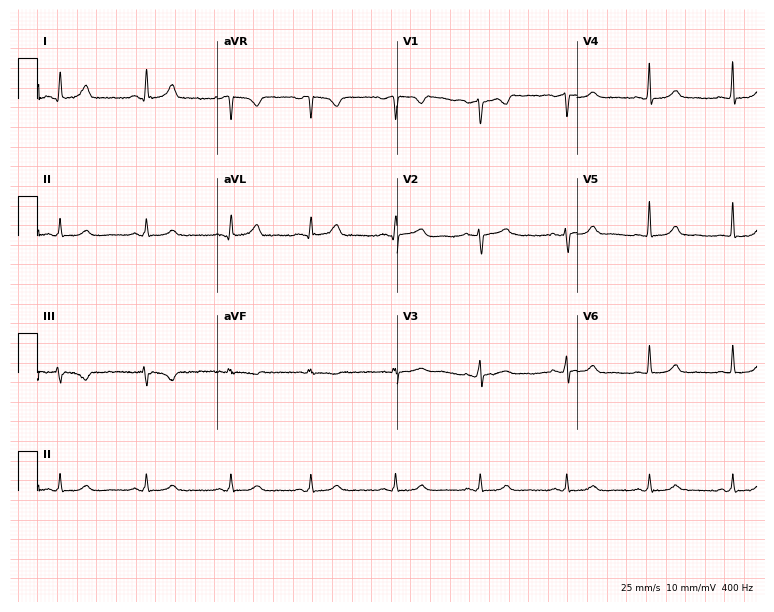
Resting 12-lead electrocardiogram. Patient: a female, 44 years old. Read as a normal ECG.